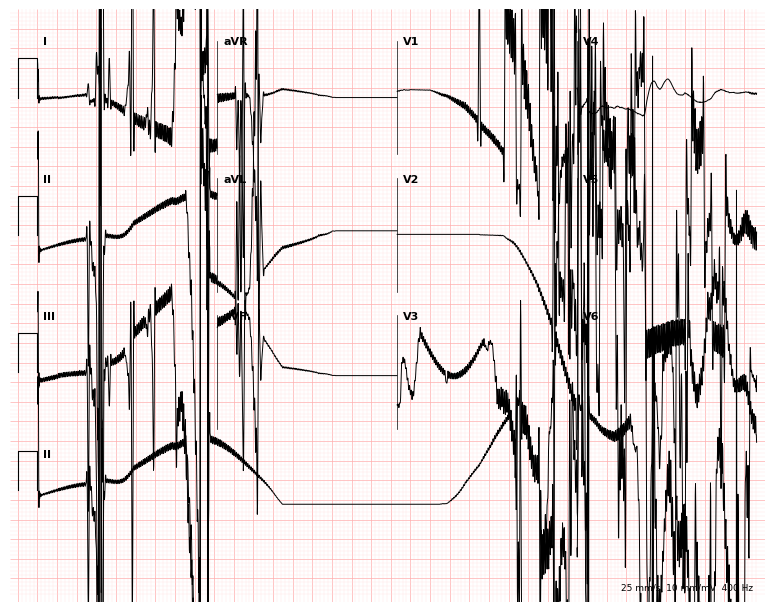
Standard 12-lead ECG recorded from a man, 24 years old (7.3-second recording at 400 Hz). None of these six findings is recorded: first-degree AV block, right bundle branch block, left bundle branch block, sinus bradycardia, atrial fibrillation, sinus tachycardia.